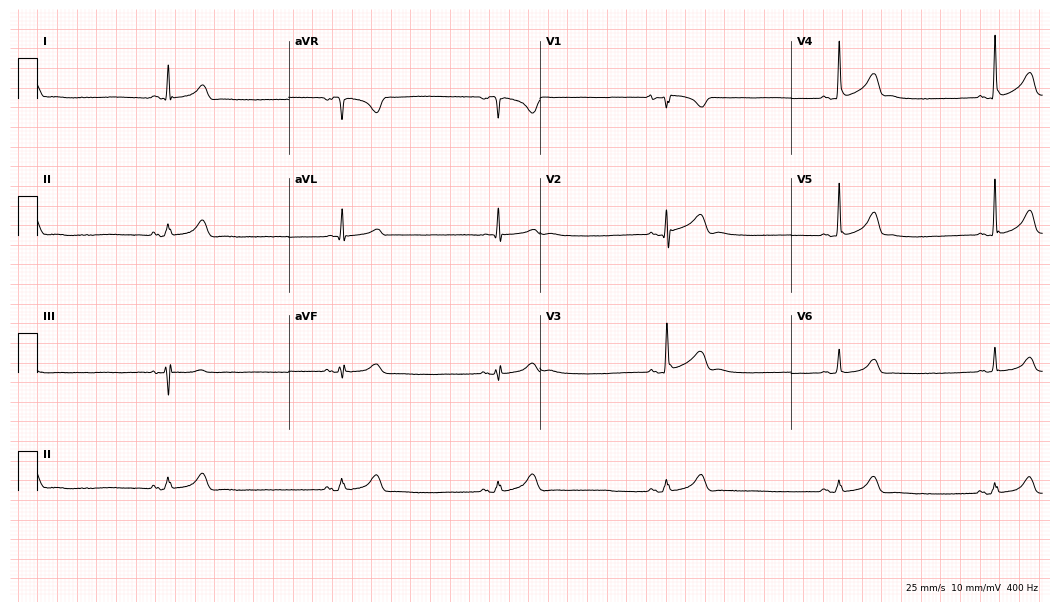
Standard 12-lead ECG recorded from a woman, 23 years old (10.2-second recording at 400 Hz). None of these six findings is recorded: first-degree AV block, right bundle branch block (RBBB), left bundle branch block (LBBB), sinus bradycardia, atrial fibrillation (AF), sinus tachycardia. Findings outside these six are not listed.